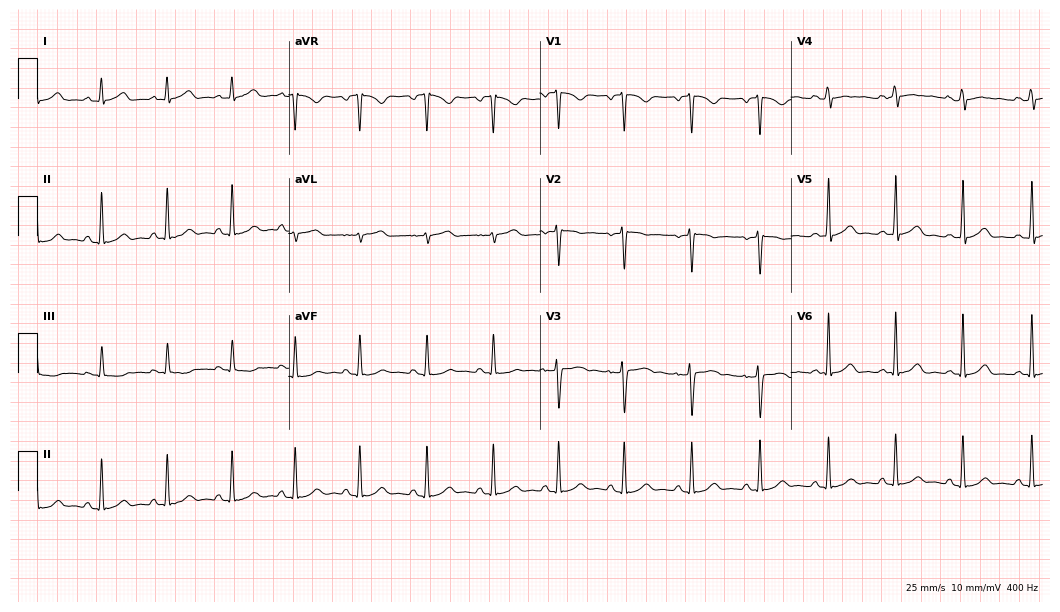
Electrocardiogram, a 26-year-old woman. Overall reading on record: normal ECG.